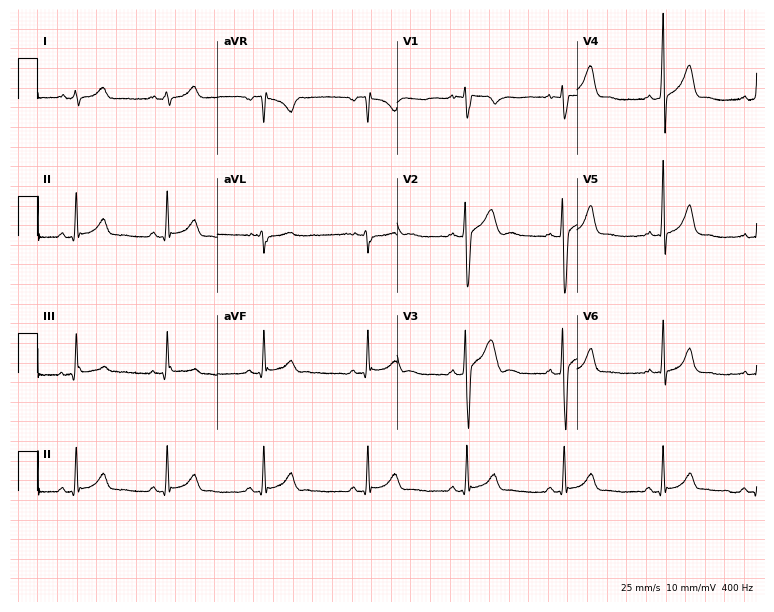
Resting 12-lead electrocardiogram. Patient: a 20-year-old woman. Read as a normal ECG.